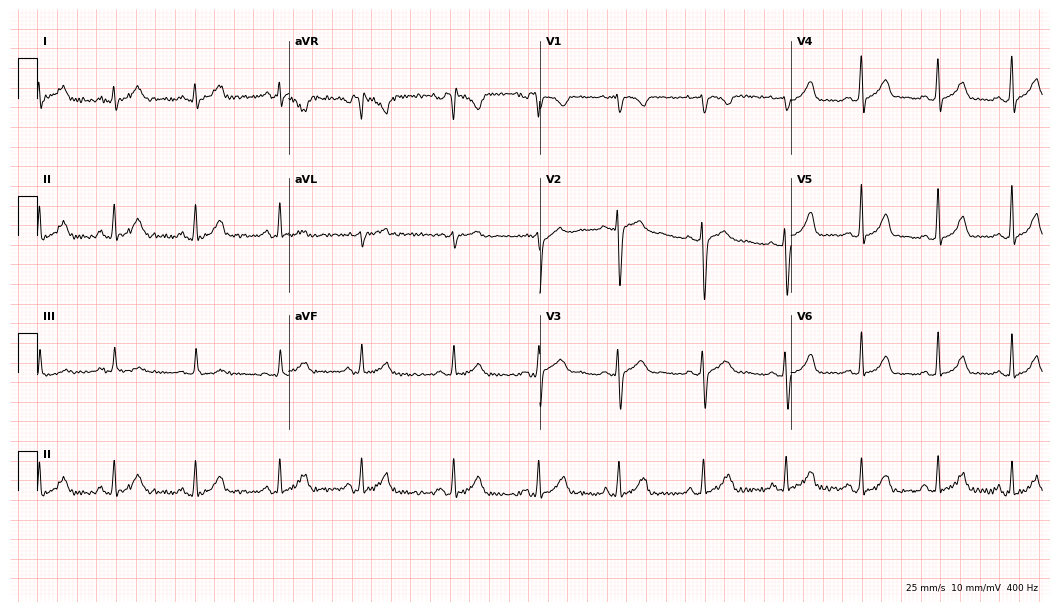
12-lead ECG from a 27-year-old female patient. No first-degree AV block, right bundle branch block, left bundle branch block, sinus bradycardia, atrial fibrillation or sinus tachycardia recorded for this tracing.